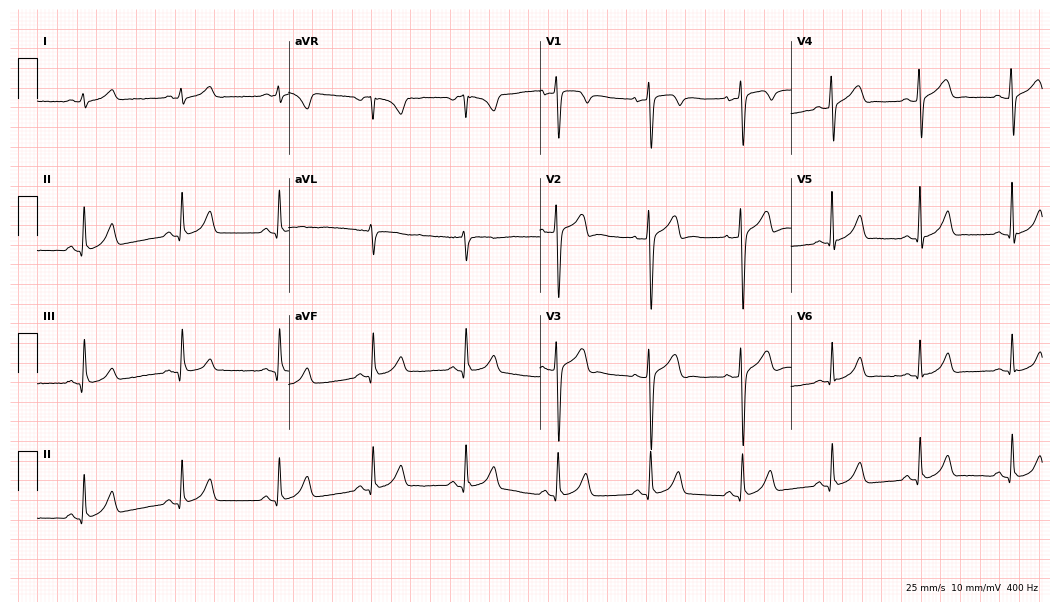
Standard 12-lead ECG recorded from a 27-year-old man. Read as a normal ECG.